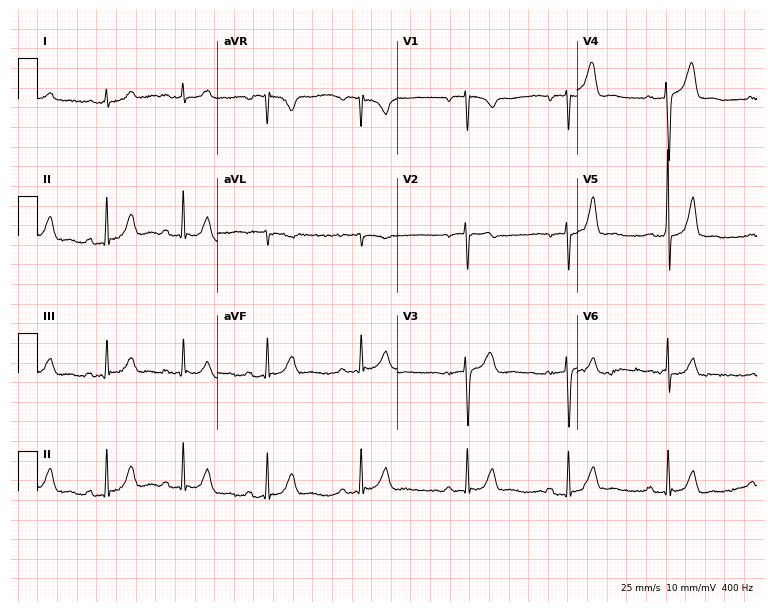
12-lead ECG from a man, 35 years old. No first-degree AV block, right bundle branch block (RBBB), left bundle branch block (LBBB), sinus bradycardia, atrial fibrillation (AF) or sinus tachycardia recorded for this tracing.